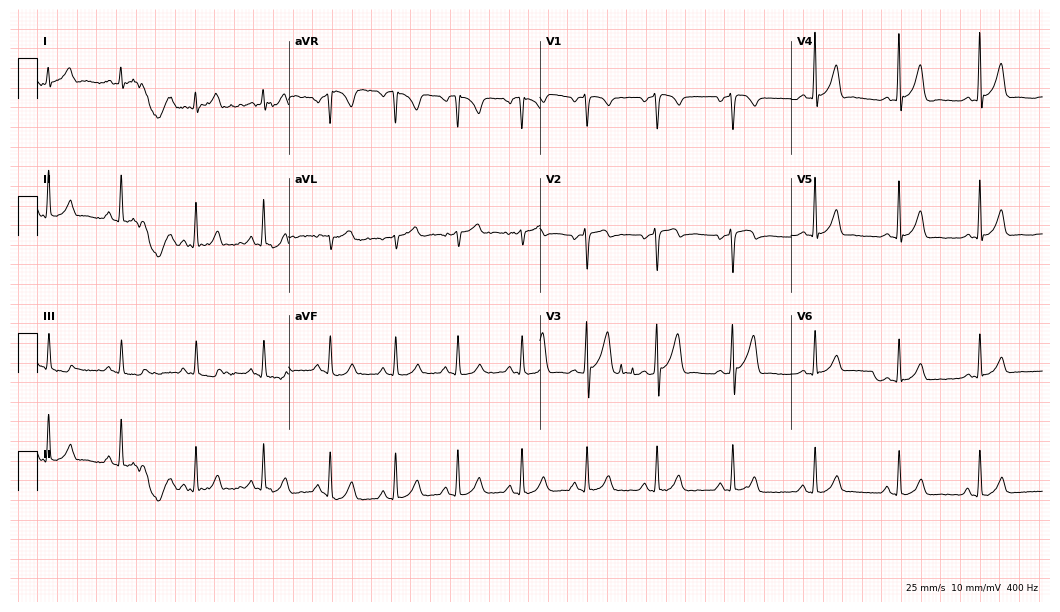
12-lead ECG from a 25-year-old male patient (10.2-second recording at 400 Hz). No first-degree AV block, right bundle branch block (RBBB), left bundle branch block (LBBB), sinus bradycardia, atrial fibrillation (AF) or sinus tachycardia recorded for this tracing. Only these six findings were labelled.